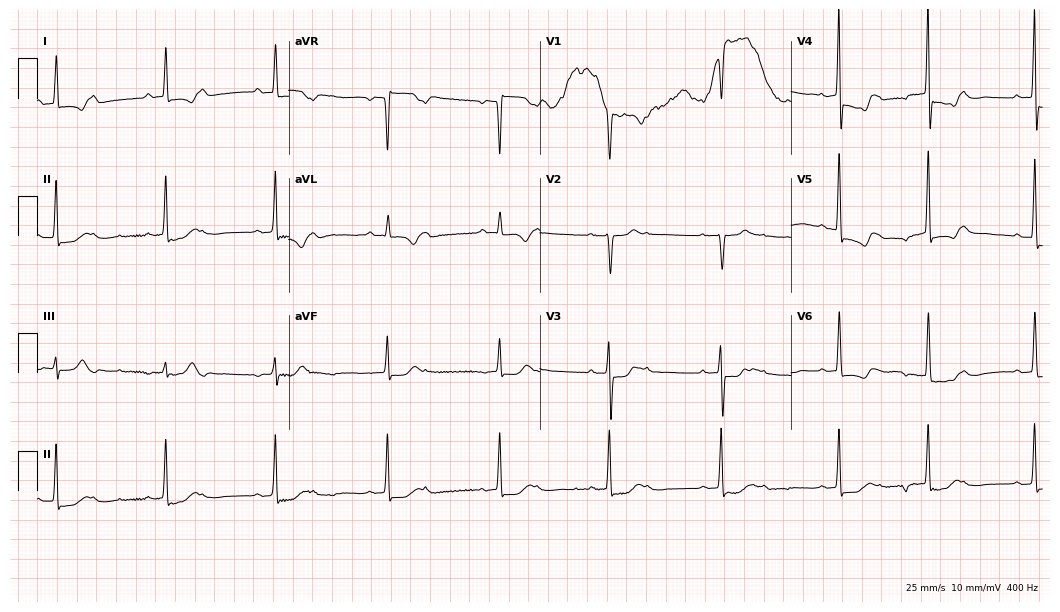
ECG — a 79-year-old female patient. Screened for six findings — first-degree AV block, right bundle branch block (RBBB), left bundle branch block (LBBB), sinus bradycardia, atrial fibrillation (AF), sinus tachycardia — none is recorded.